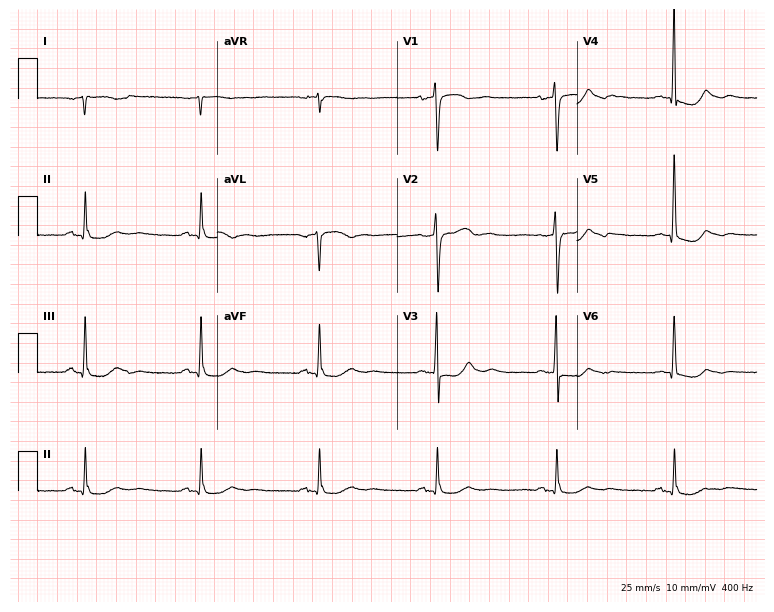
12-lead ECG from an 80-year-old male patient. Screened for six findings — first-degree AV block, right bundle branch block (RBBB), left bundle branch block (LBBB), sinus bradycardia, atrial fibrillation (AF), sinus tachycardia — none is recorded.